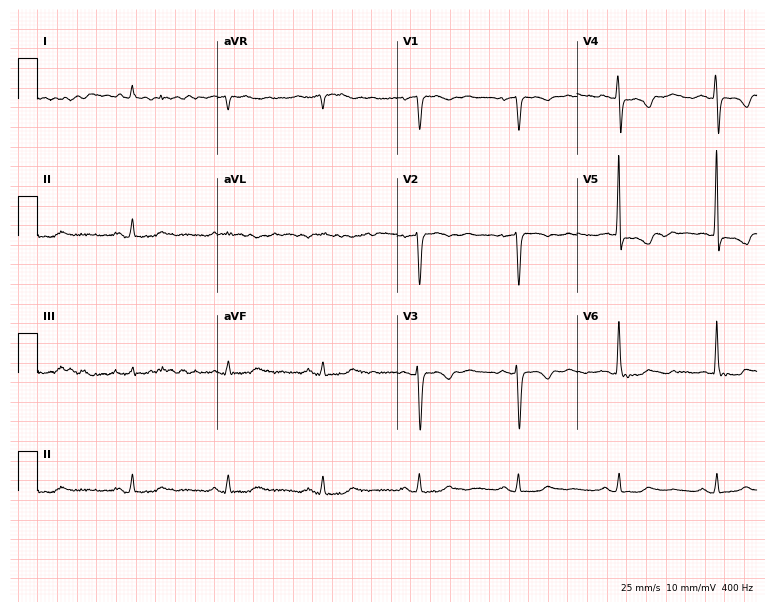
12-lead ECG from a woman, 62 years old. No first-degree AV block, right bundle branch block (RBBB), left bundle branch block (LBBB), sinus bradycardia, atrial fibrillation (AF) or sinus tachycardia recorded for this tracing.